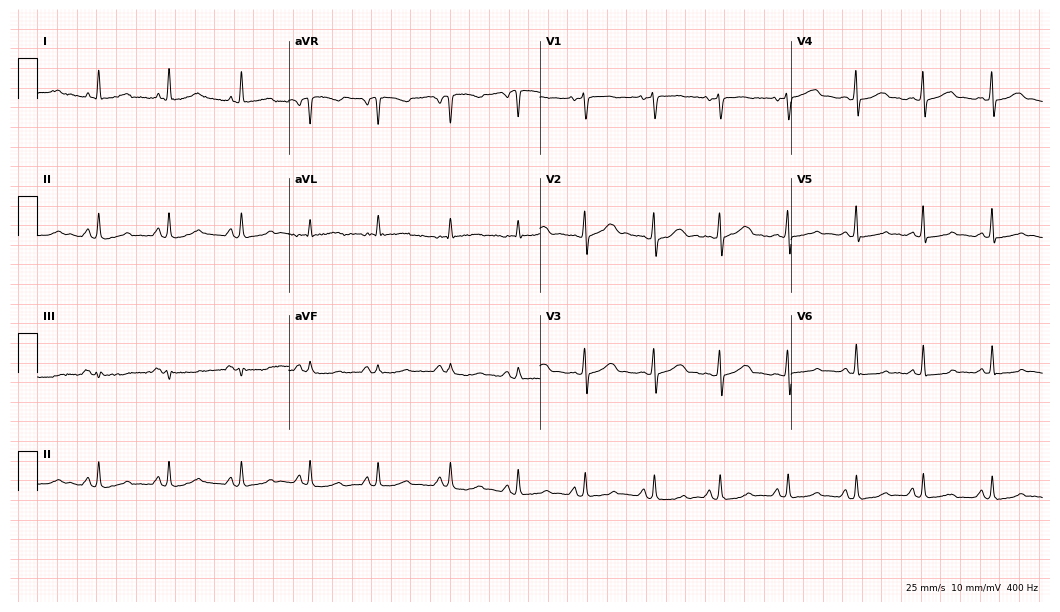
Resting 12-lead electrocardiogram (10.2-second recording at 400 Hz). Patient: a woman, 56 years old. None of these six findings is recorded: first-degree AV block, right bundle branch block, left bundle branch block, sinus bradycardia, atrial fibrillation, sinus tachycardia.